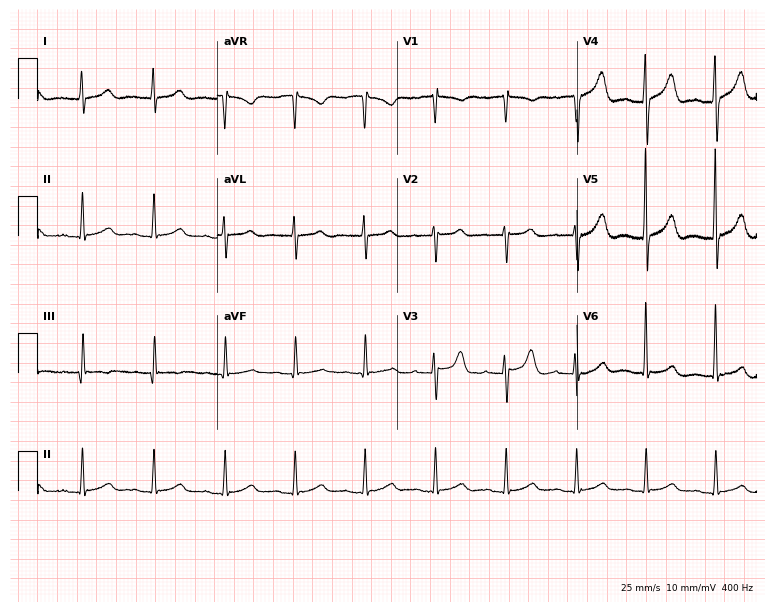
ECG (7.3-second recording at 400 Hz) — a man, 77 years old. Screened for six findings — first-degree AV block, right bundle branch block, left bundle branch block, sinus bradycardia, atrial fibrillation, sinus tachycardia — none is recorded.